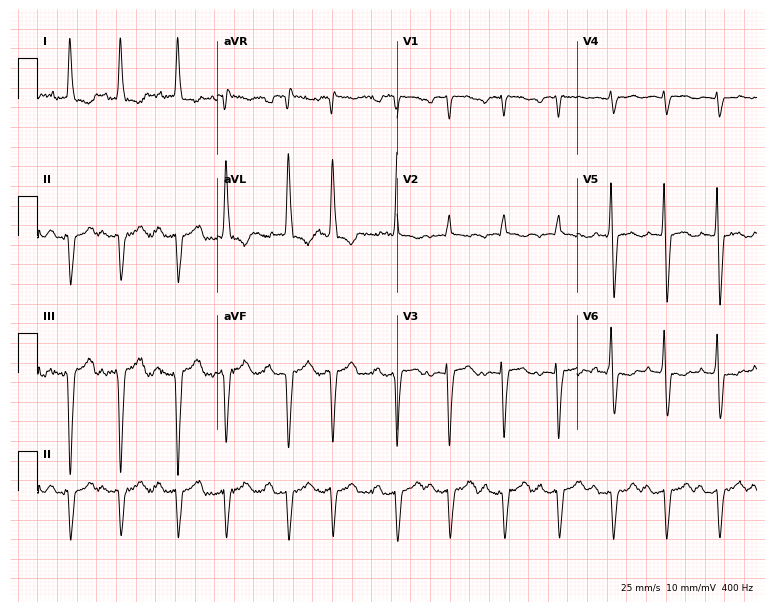
Electrocardiogram (7.3-second recording at 400 Hz), a female patient, 79 years old. Of the six screened findings (first-degree AV block, right bundle branch block, left bundle branch block, sinus bradycardia, atrial fibrillation, sinus tachycardia), none is recorded. Only these six findings were labelled.